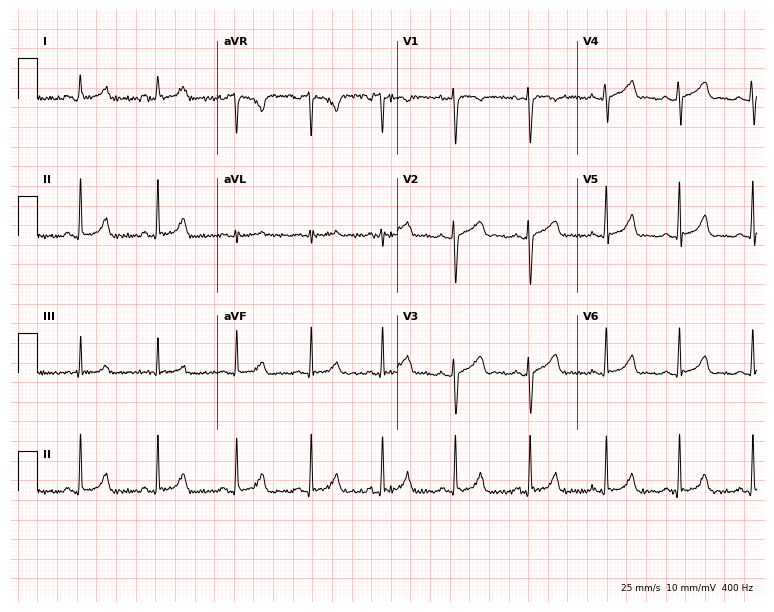
12-lead ECG from a female, 22 years old (7.3-second recording at 400 Hz). Recorded interpretation: within normal limits.